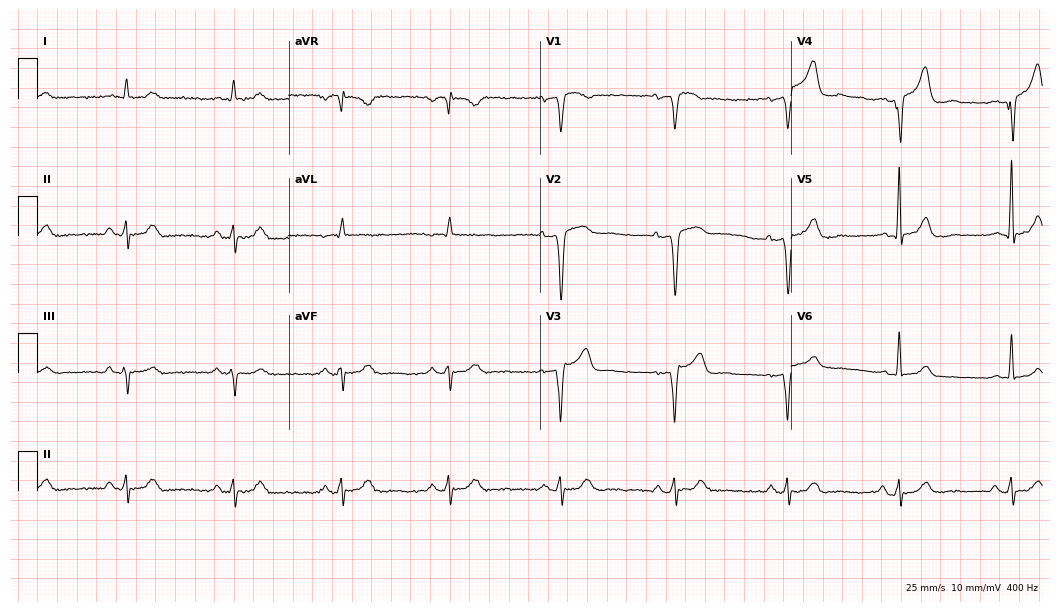
Resting 12-lead electrocardiogram (10.2-second recording at 400 Hz). Patient: an 83-year-old man. None of these six findings is recorded: first-degree AV block, right bundle branch block (RBBB), left bundle branch block (LBBB), sinus bradycardia, atrial fibrillation (AF), sinus tachycardia. Other findings, if any, are not listed.